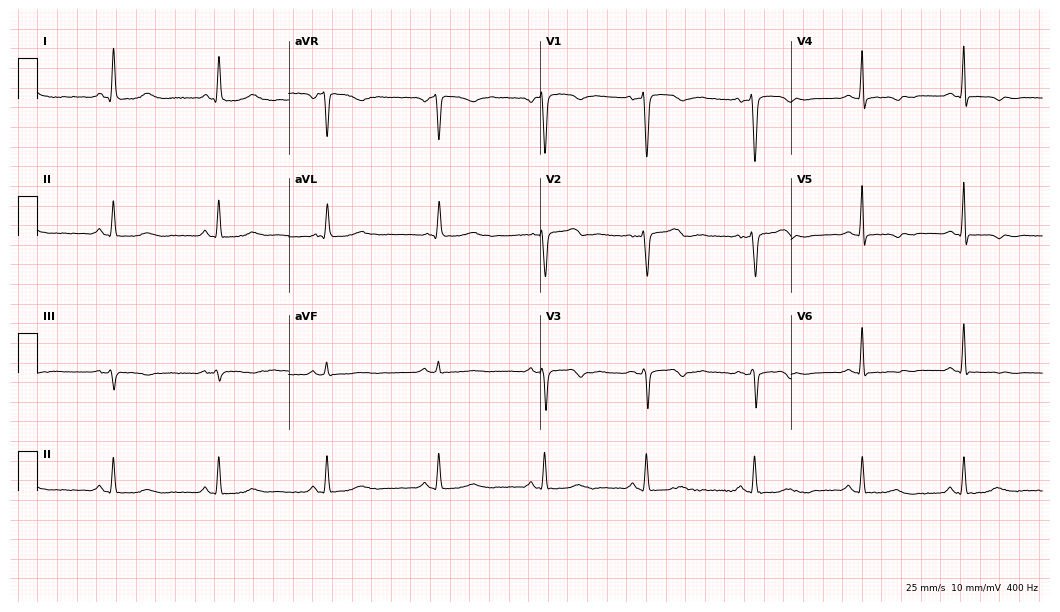
12-lead ECG from a female, 50 years old (10.2-second recording at 400 Hz). No first-degree AV block, right bundle branch block (RBBB), left bundle branch block (LBBB), sinus bradycardia, atrial fibrillation (AF) or sinus tachycardia recorded for this tracing.